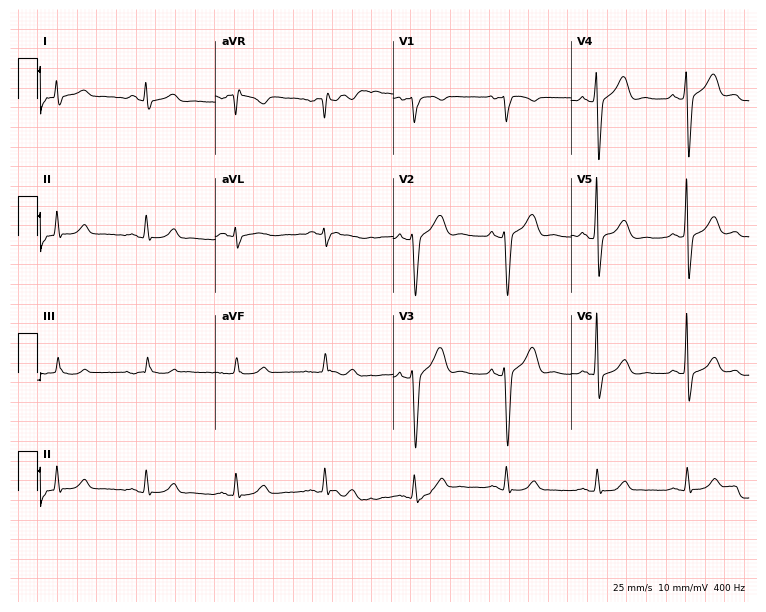
Electrocardiogram (7.3-second recording at 400 Hz), a male patient, 45 years old. Of the six screened findings (first-degree AV block, right bundle branch block, left bundle branch block, sinus bradycardia, atrial fibrillation, sinus tachycardia), none is recorded.